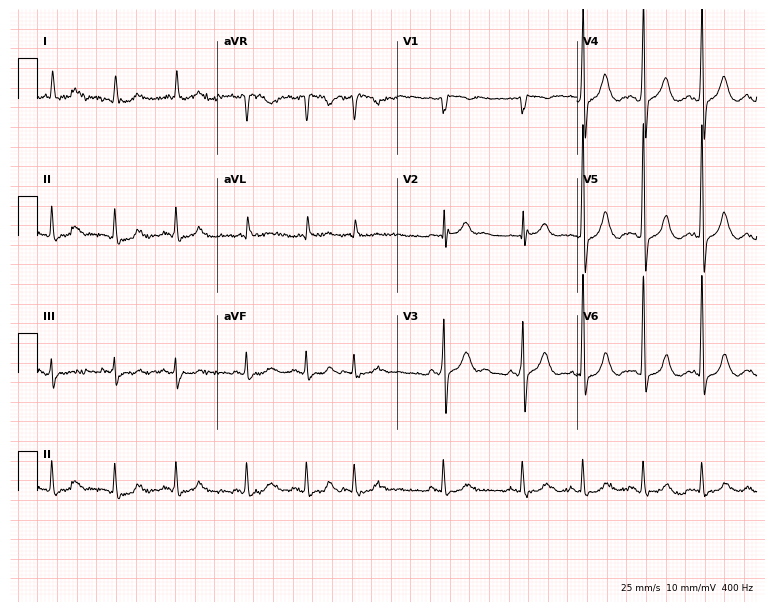
Resting 12-lead electrocardiogram. Patient: a 75-year-old male. None of these six findings is recorded: first-degree AV block, right bundle branch block, left bundle branch block, sinus bradycardia, atrial fibrillation, sinus tachycardia.